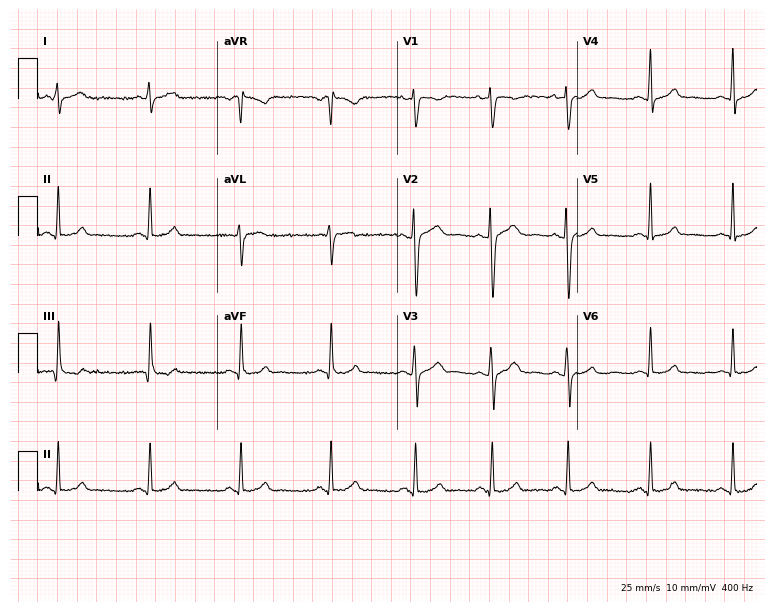
Resting 12-lead electrocardiogram. Patient: a female, 29 years old. Read as a normal ECG.